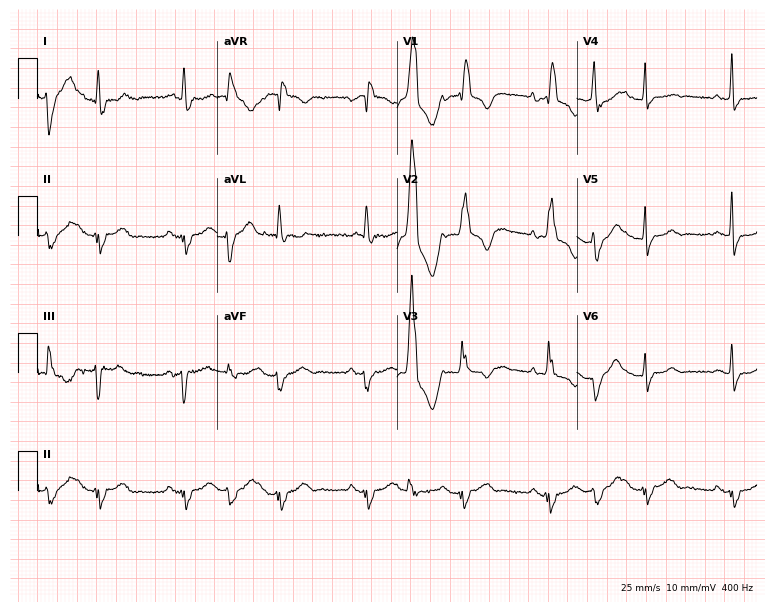
ECG (7.3-second recording at 400 Hz) — a 63-year-old female patient. Findings include right bundle branch block (RBBB).